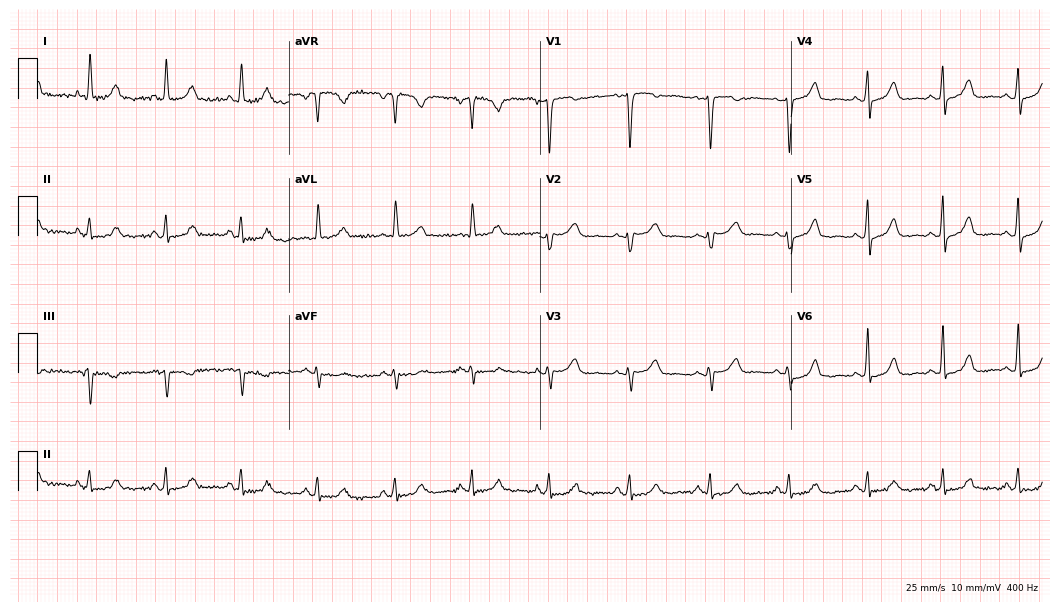
Resting 12-lead electrocardiogram. Patient: a female, 54 years old. None of these six findings is recorded: first-degree AV block, right bundle branch block, left bundle branch block, sinus bradycardia, atrial fibrillation, sinus tachycardia.